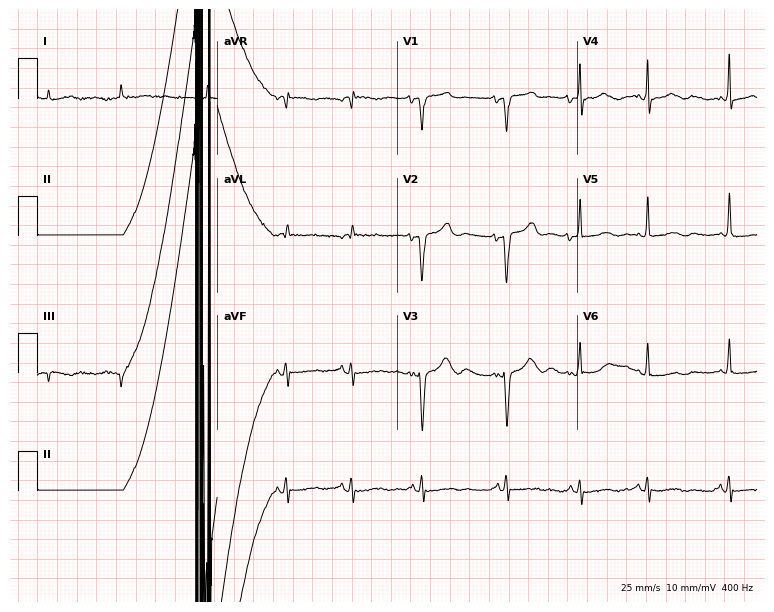
Standard 12-lead ECG recorded from a female patient, 79 years old (7.3-second recording at 400 Hz). None of these six findings is recorded: first-degree AV block, right bundle branch block, left bundle branch block, sinus bradycardia, atrial fibrillation, sinus tachycardia. Other findings, if any, are not listed.